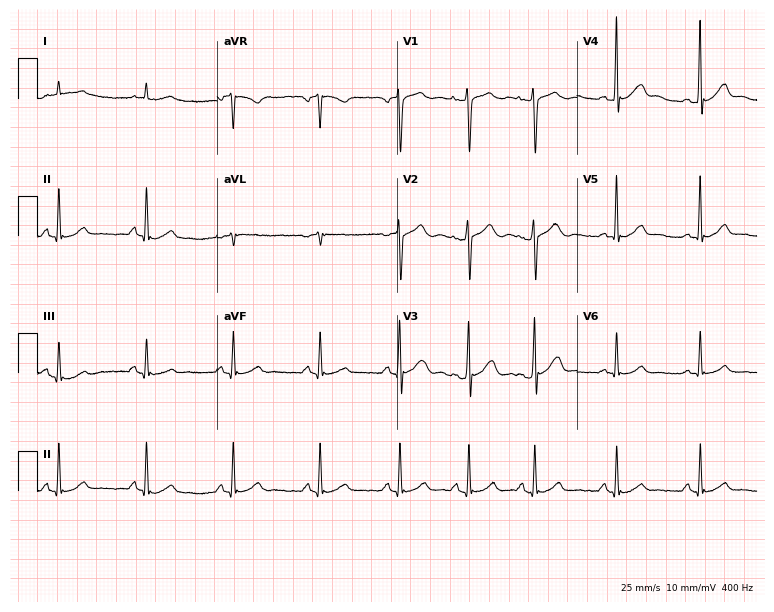
Resting 12-lead electrocardiogram (7.3-second recording at 400 Hz). Patient: a 31-year-old man. None of these six findings is recorded: first-degree AV block, right bundle branch block, left bundle branch block, sinus bradycardia, atrial fibrillation, sinus tachycardia. Other findings, if any, are not listed.